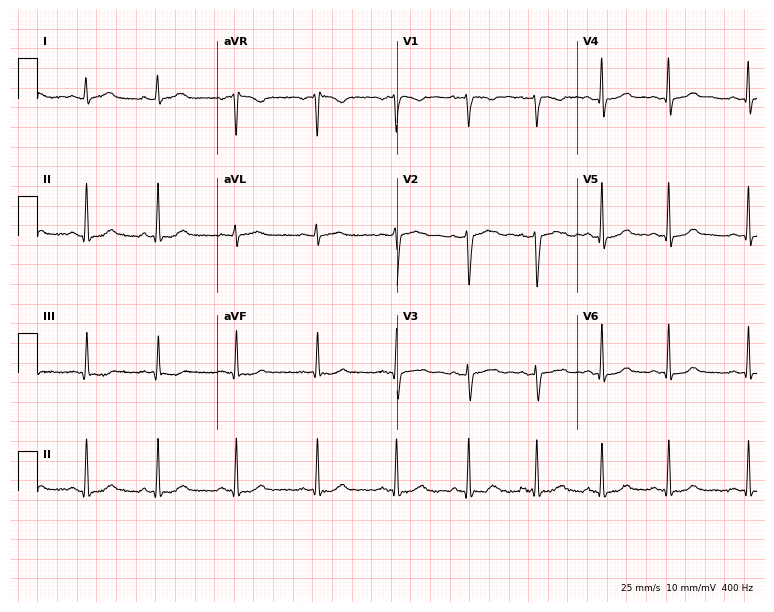
ECG — a female, 46 years old. Labelled as a normal ECG.